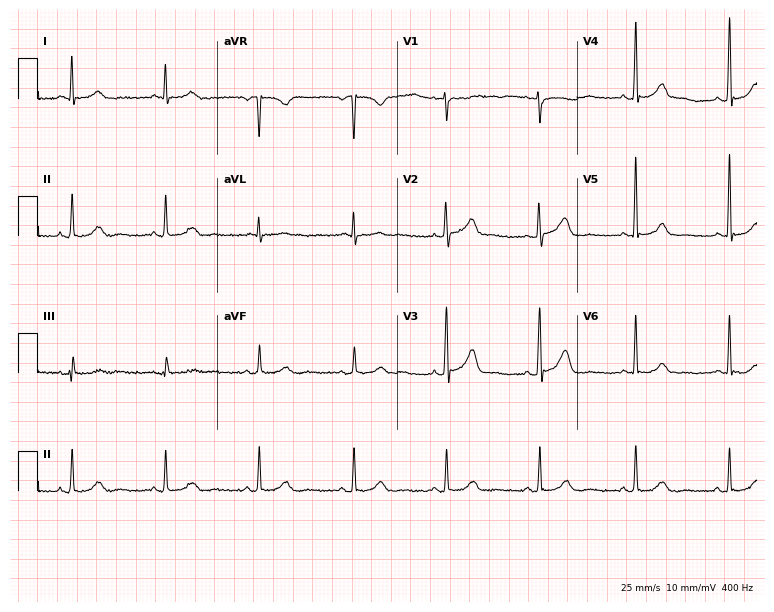
Electrocardiogram, a female patient, 63 years old. Overall reading on record: normal ECG.